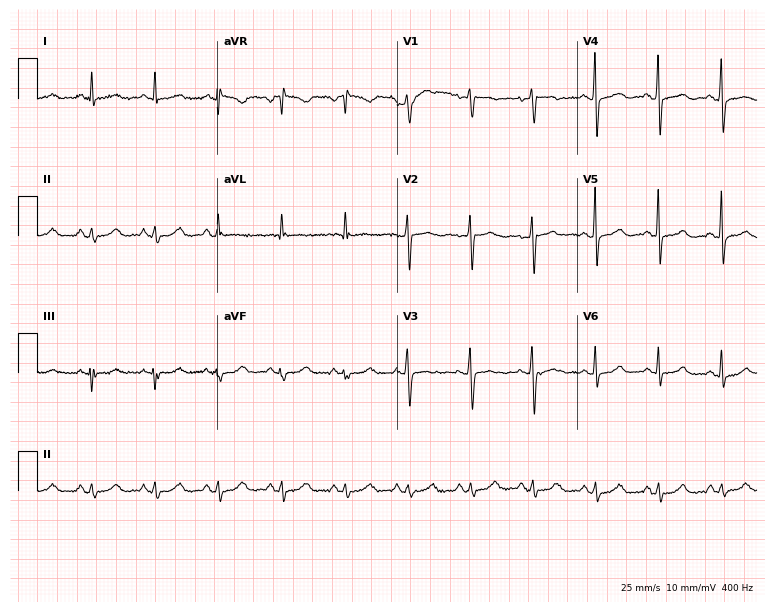
Electrocardiogram, a 70-year-old woman. Of the six screened findings (first-degree AV block, right bundle branch block (RBBB), left bundle branch block (LBBB), sinus bradycardia, atrial fibrillation (AF), sinus tachycardia), none is recorded. Other findings, if any, are not listed.